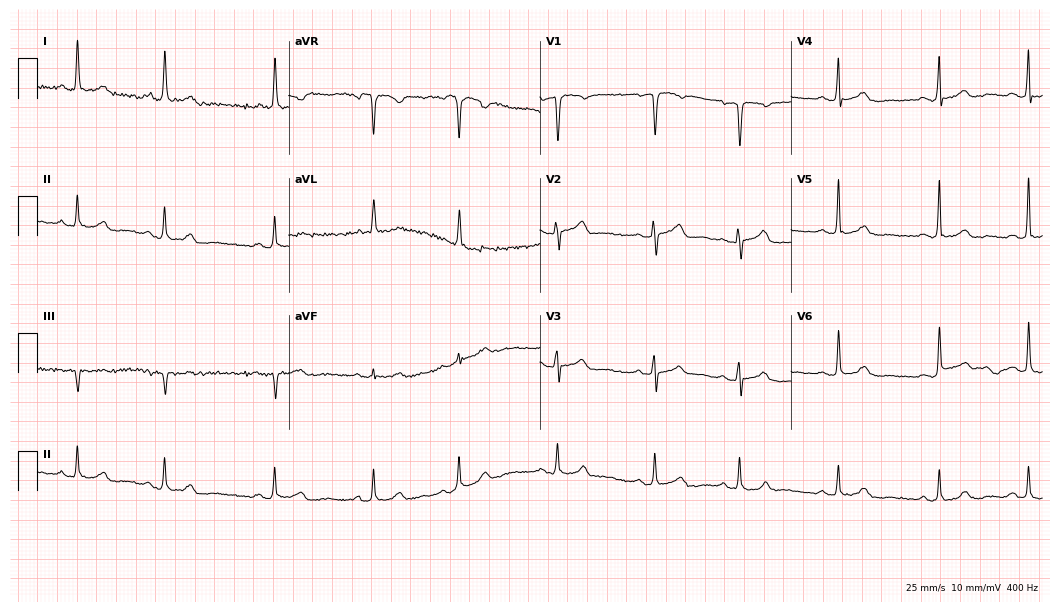
12-lead ECG (10.2-second recording at 400 Hz) from a female, 67 years old. Labelled as a normal ECG.